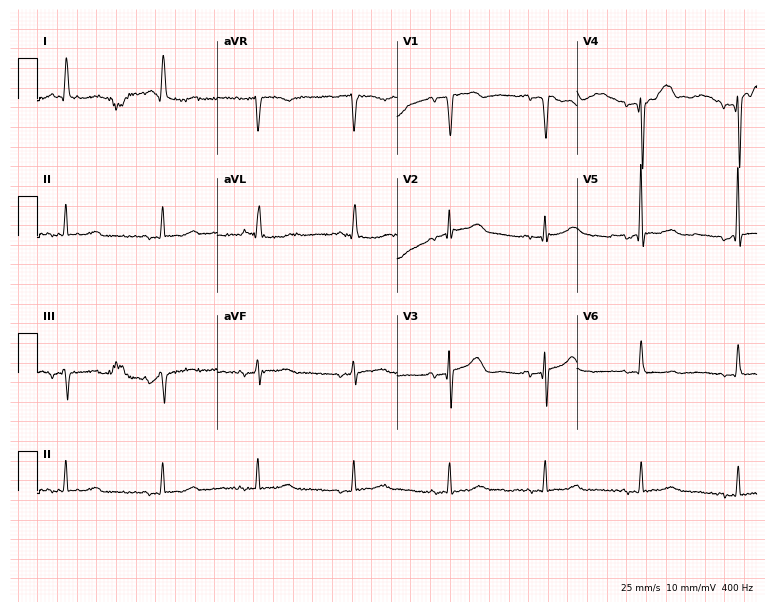
12-lead ECG from a female, 76 years old. No first-degree AV block, right bundle branch block, left bundle branch block, sinus bradycardia, atrial fibrillation or sinus tachycardia recorded for this tracing. Only these six findings were labelled.